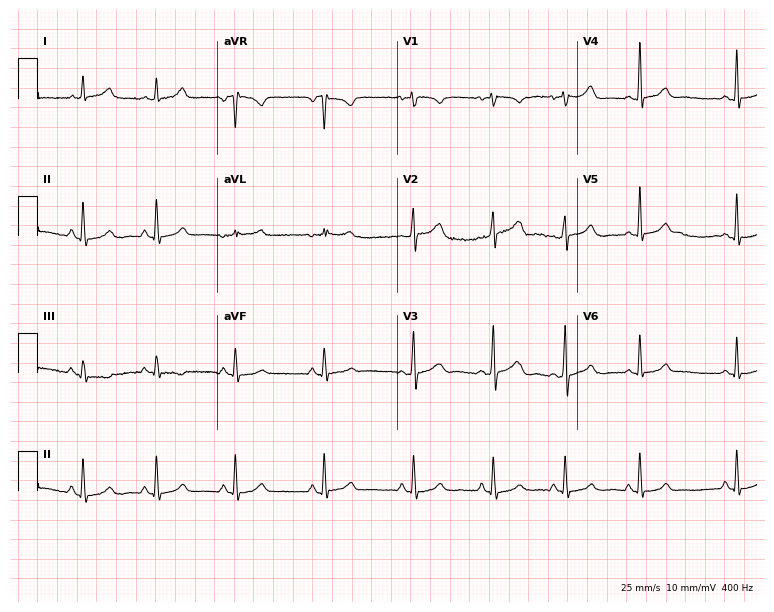
Standard 12-lead ECG recorded from a woman, 30 years old (7.3-second recording at 400 Hz). Read as a normal ECG.